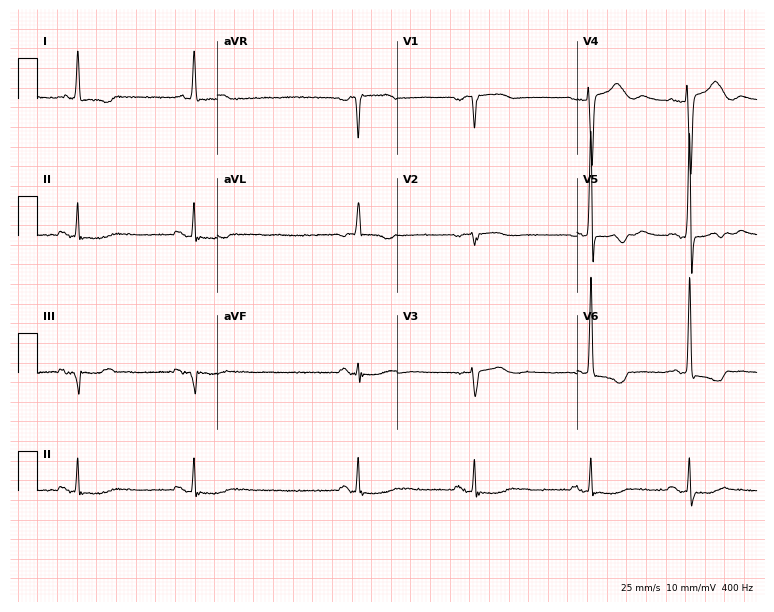
12-lead ECG (7.3-second recording at 400 Hz) from a 72-year-old male. Findings include sinus bradycardia (a sinus rate of 50 beats per minute or less).